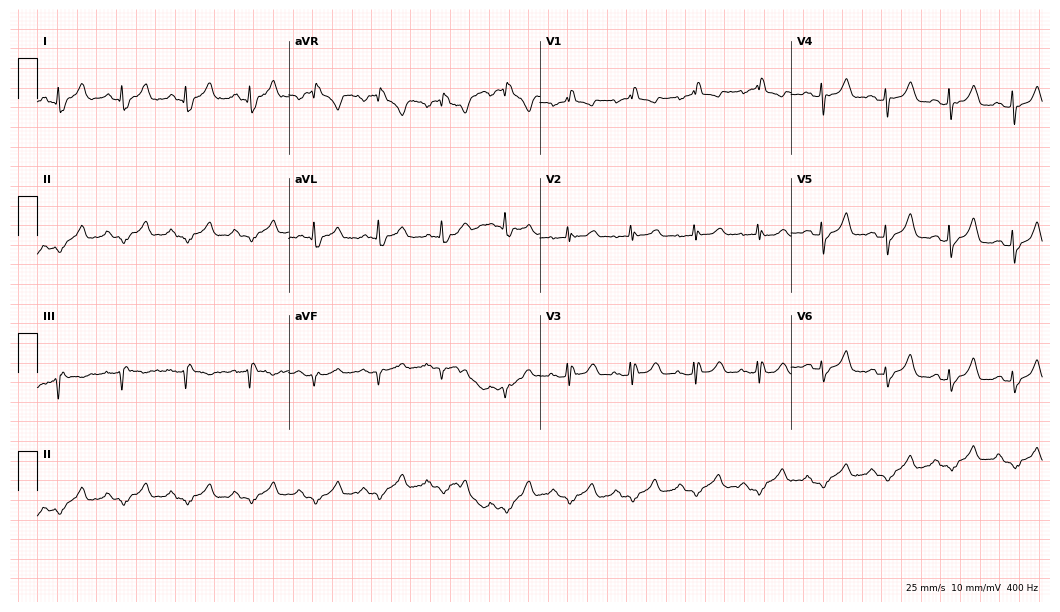
Resting 12-lead electrocardiogram (10.2-second recording at 400 Hz). Patient: a female, 73 years old. The tracing shows right bundle branch block.